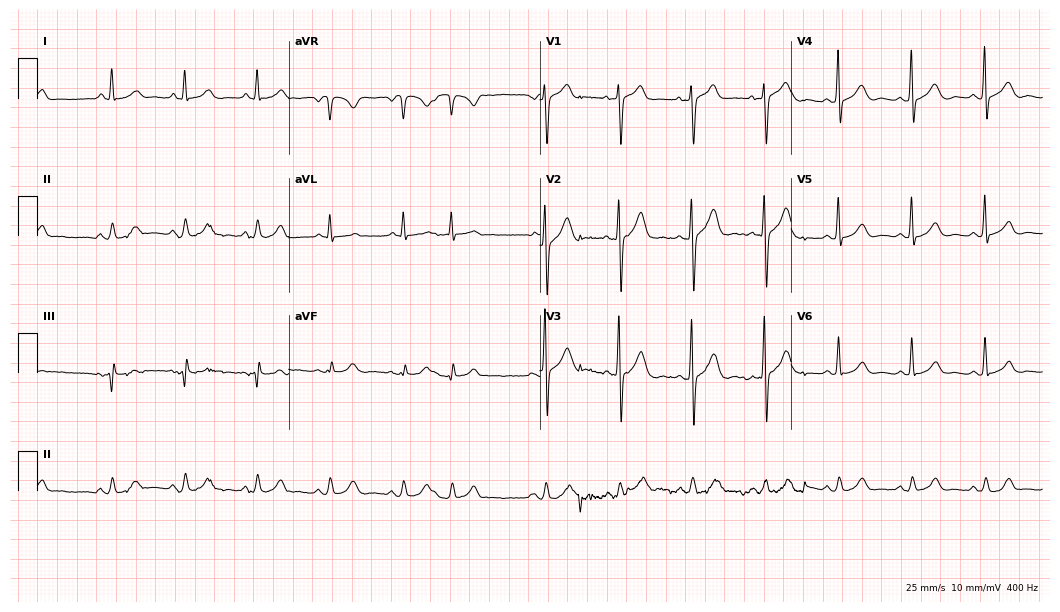
12-lead ECG from a male, 80 years old (10.2-second recording at 400 Hz). No first-degree AV block, right bundle branch block, left bundle branch block, sinus bradycardia, atrial fibrillation or sinus tachycardia recorded for this tracing.